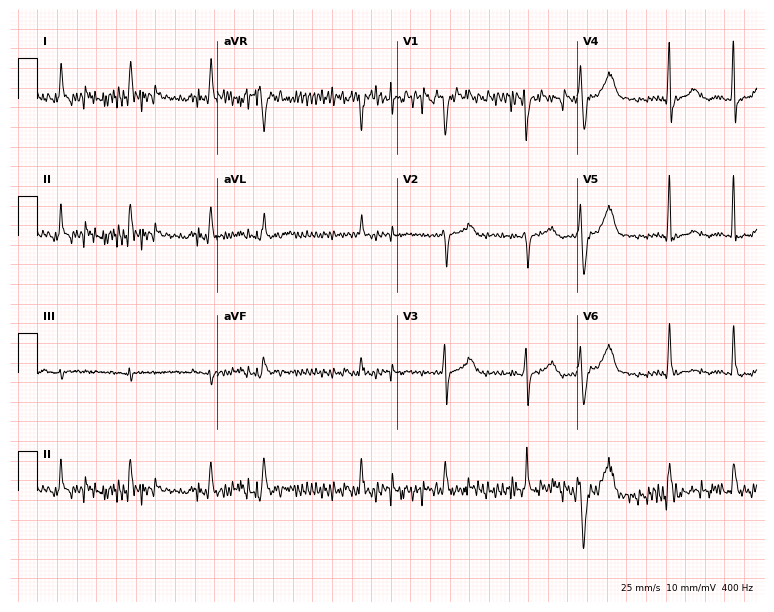
Electrocardiogram (7.3-second recording at 400 Hz), an 85-year-old woman. Of the six screened findings (first-degree AV block, right bundle branch block, left bundle branch block, sinus bradycardia, atrial fibrillation, sinus tachycardia), none is recorded. Other findings, if any, are not listed.